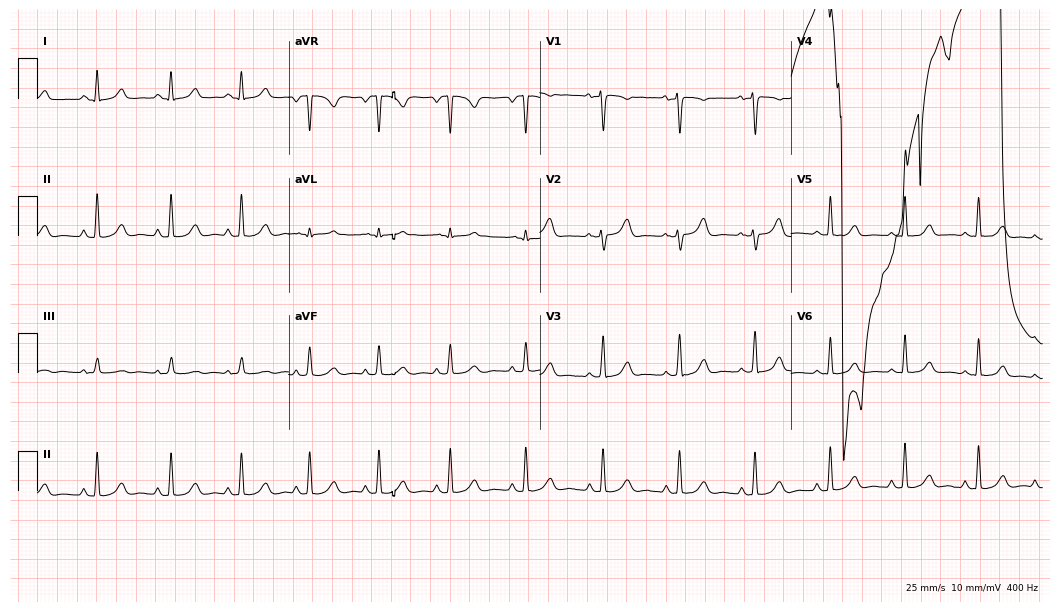
12-lead ECG (10.2-second recording at 400 Hz) from a female, 40 years old. Screened for six findings — first-degree AV block, right bundle branch block, left bundle branch block, sinus bradycardia, atrial fibrillation, sinus tachycardia — none is recorded.